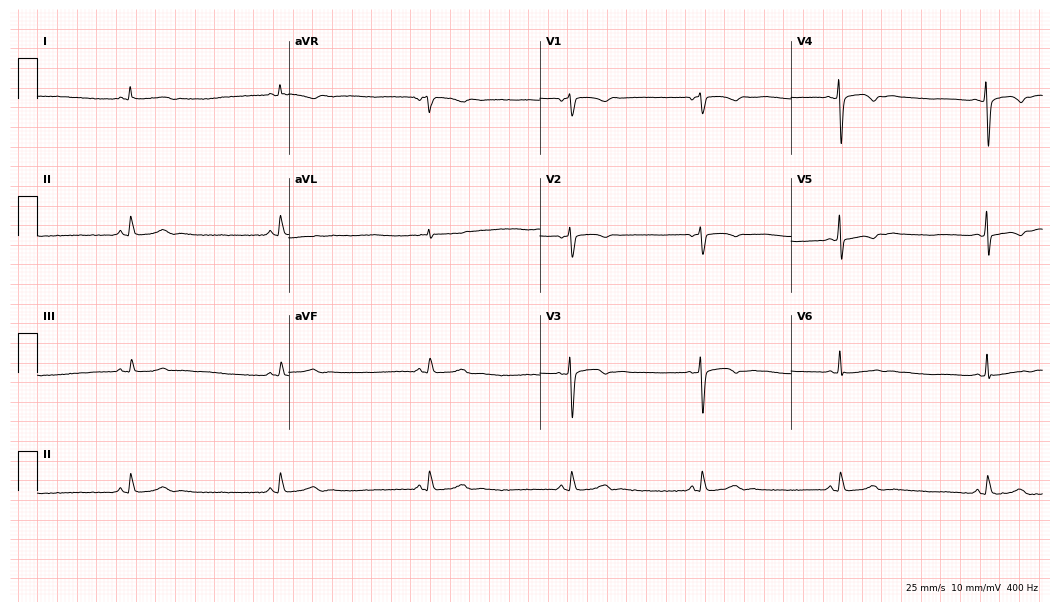
12-lead ECG from a 55-year-old female patient. Shows sinus bradycardia (a sinus rate of 50 beats per minute or less).